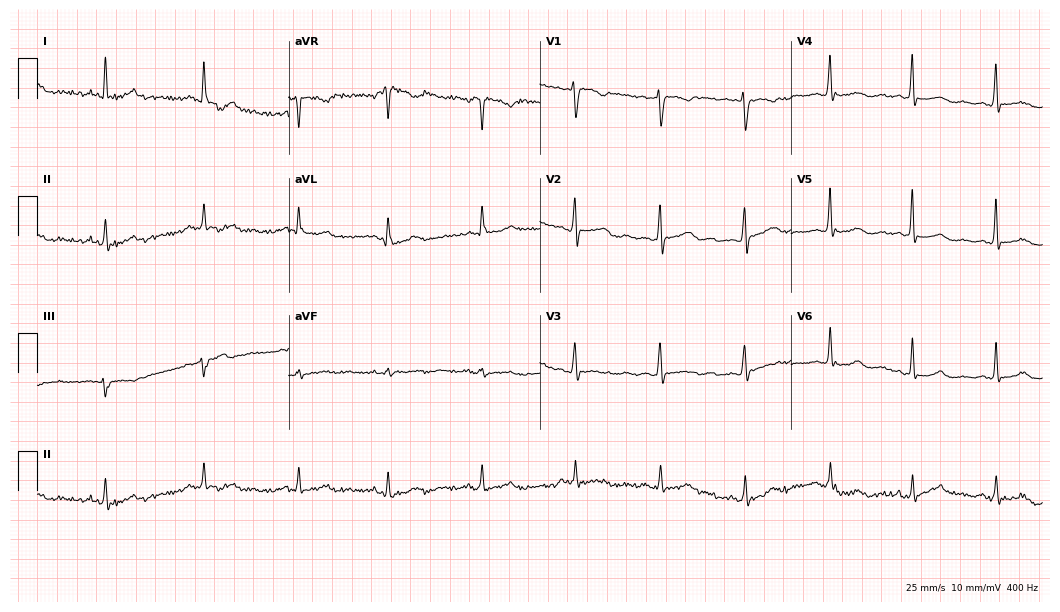
12-lead ECG from a female patient, 41 years old (10.2-second recording at 400 Hz). Recorded interpretation: within normal limits.